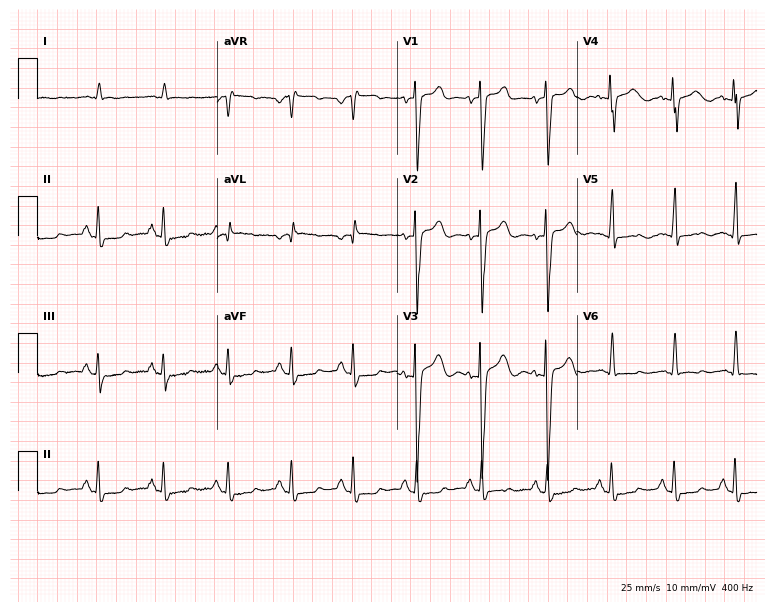
Resting 12-lead electrocardiogram (7.3-second recording at 400 Hz). Patient: an 80-year-old man. None of these six findings is recorded: first-degree AV block, right bundle branch block, left bundle branch block, sinus bradycardia, atrial fibrillation, sinus tachycardia. Findings outside these six are not listed.